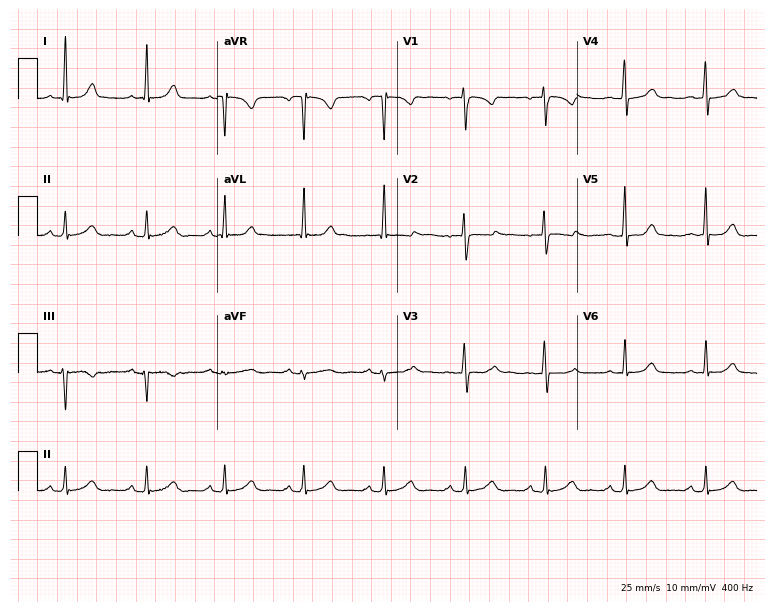
Electrocardiogram (7.3-second recording at 400 Hz), a woman, 29 years old. Of the six screened findings (first-degree AV block, right bundle branch block, left bundle branch block, sinus bradycardia, atrial fibrillation, sinus tachycardia), none is recorded. Findings outside these six are not listed.